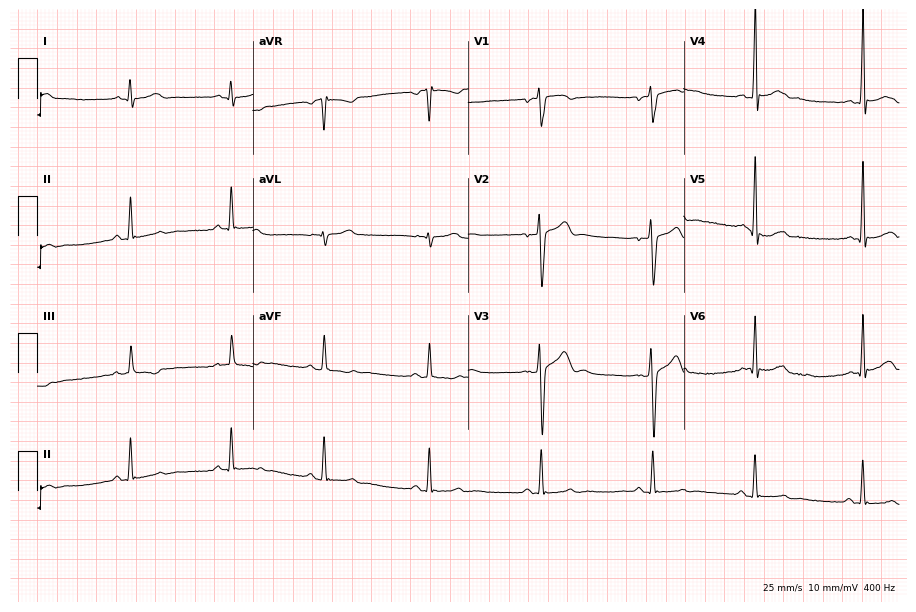
Electrocardiogram (8.8-second recording at 400 Hz), a male, 29 years old. Of the six screened findings (first-degree AV block, right bundle branch block, left bundle branch block, sinus bradycardia, atrial fibrillation, sinus tachycardia), none is recorded. Findings outside these six are not listed.